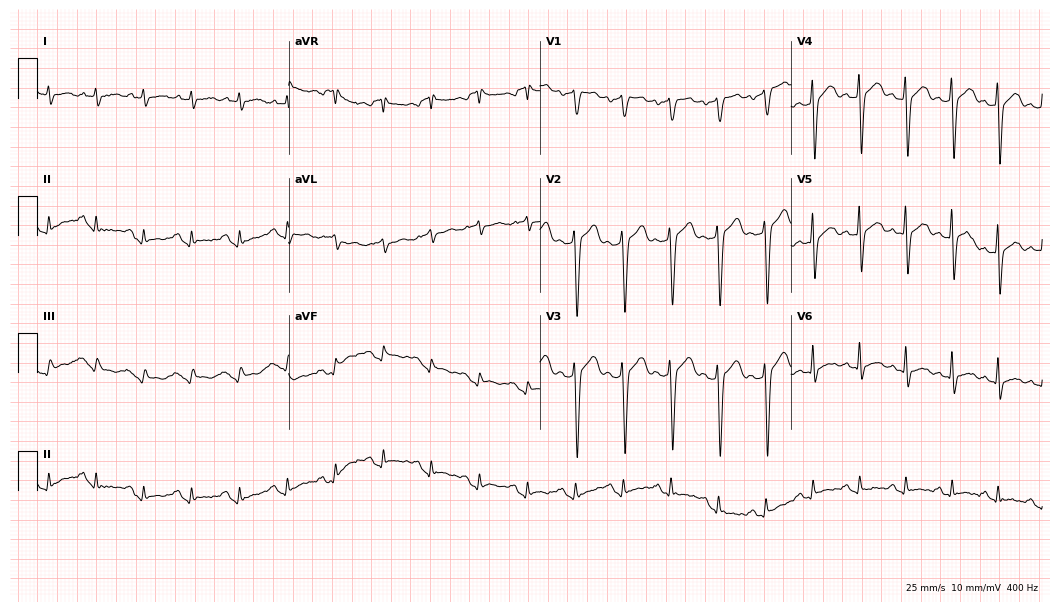
ECG — a man, 59 years old. Findings include sinus tachycardia (a sinus rate of 100 beats per minute or more).